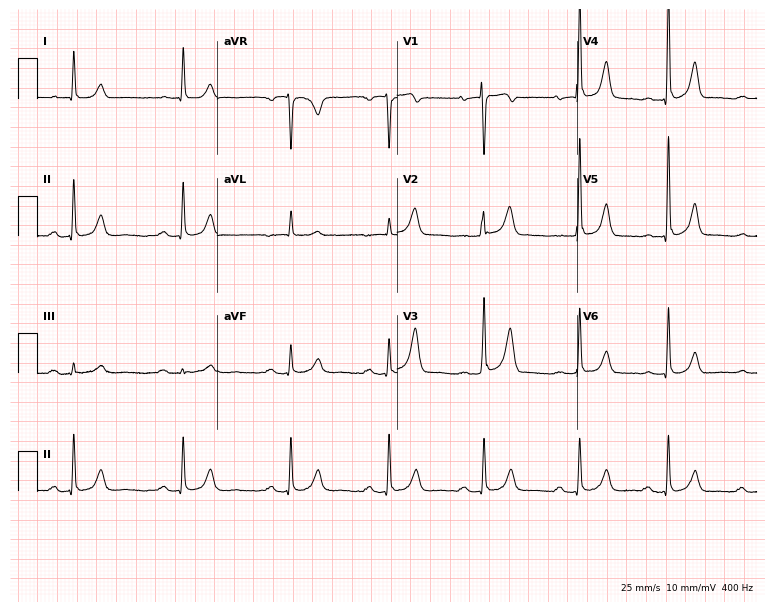
Electrocardiogram, a female patient, 80 years old. Of the six screened findings (first-degree AV block, right bundle branch block, left bundle branch block, sinus bradycardia, atrial fibrillation, sinus tachycardia), none is recorded.